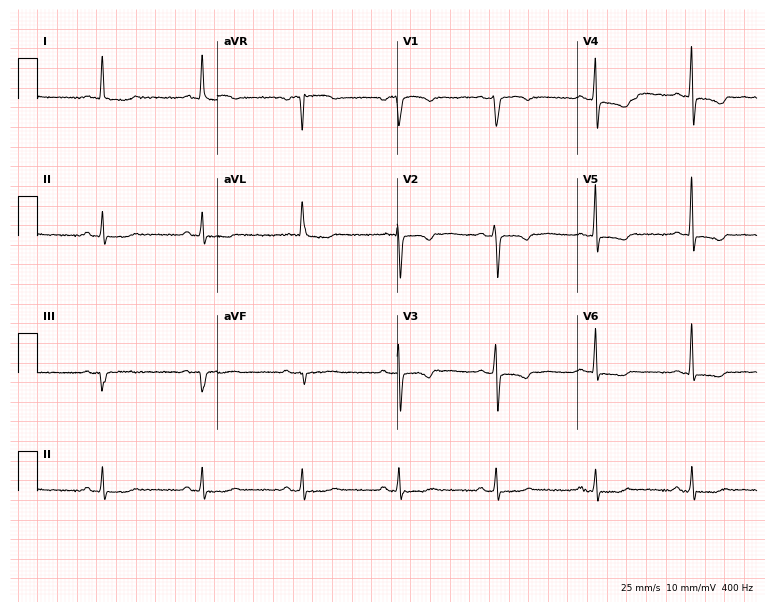
12-lead ECG from a 65-year-old female. Screened for six findings — first-degree AV block, right bundle branch block, left bundle branch block, sinus bradycardia, atrial fibrillation, sinus tachycardia — none is recorded. Other findings, if any, are not listed.